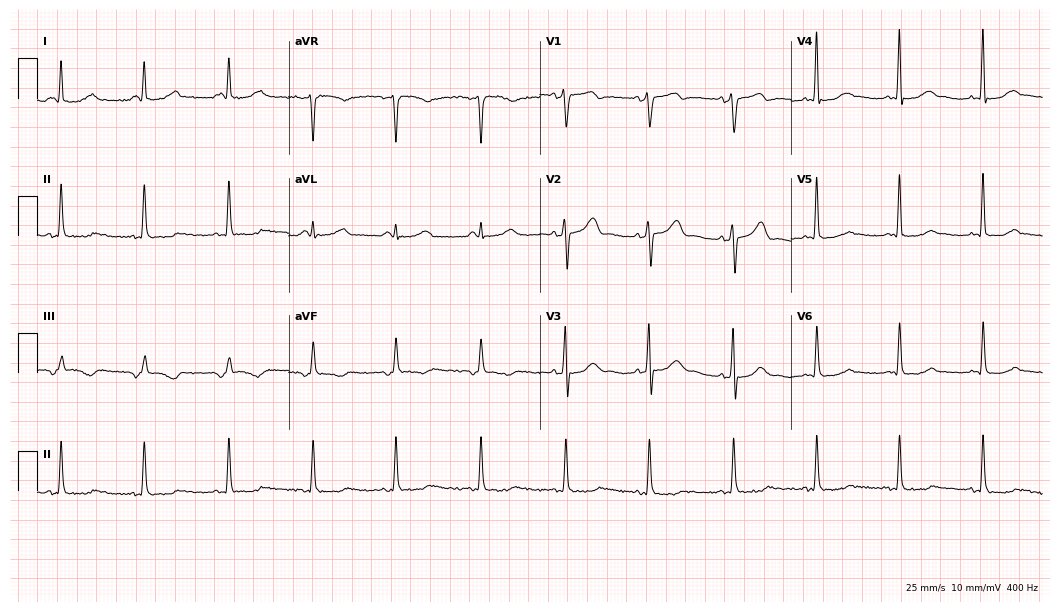
12-lead ECG (10.2-second recording at 400 Hz) from a 64-year-old woman. Screened for six findings — first-degree AV block, right bundle branch block, left bundle branch block, sinus bradycardia, atrial fibrillation, sinus tachycardia — none is recorded. Only these six findings were labelled.